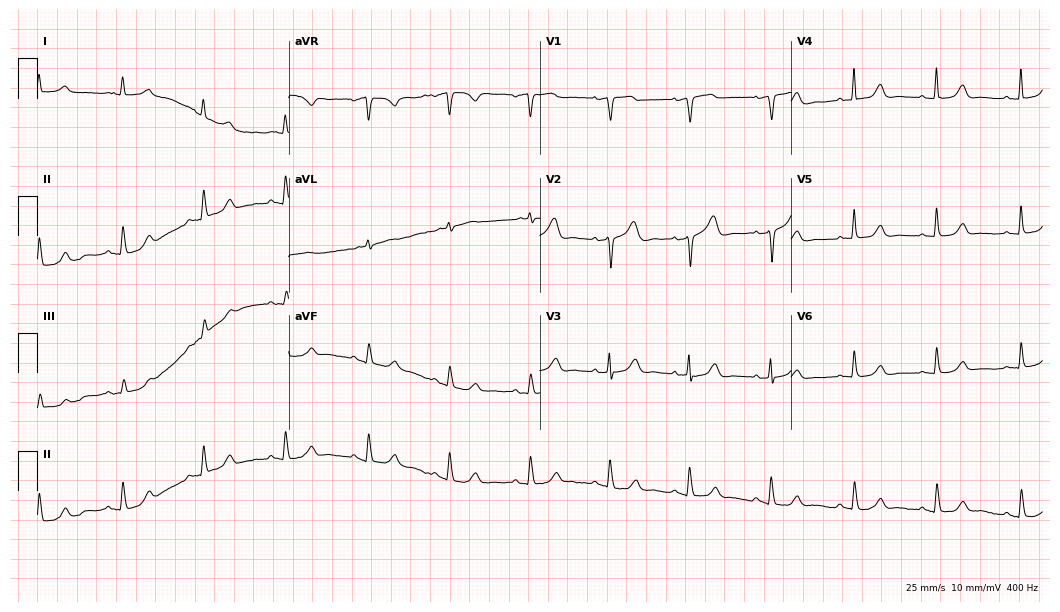
ECG — an 85-year-old woman. Screened for six findings — first-degree AV block, right bundle branch block, left bundle branch block, sinus bradycardia, atrial fibrillation, sinus tachycardia — none is recorded. Only these six findings were labelled.